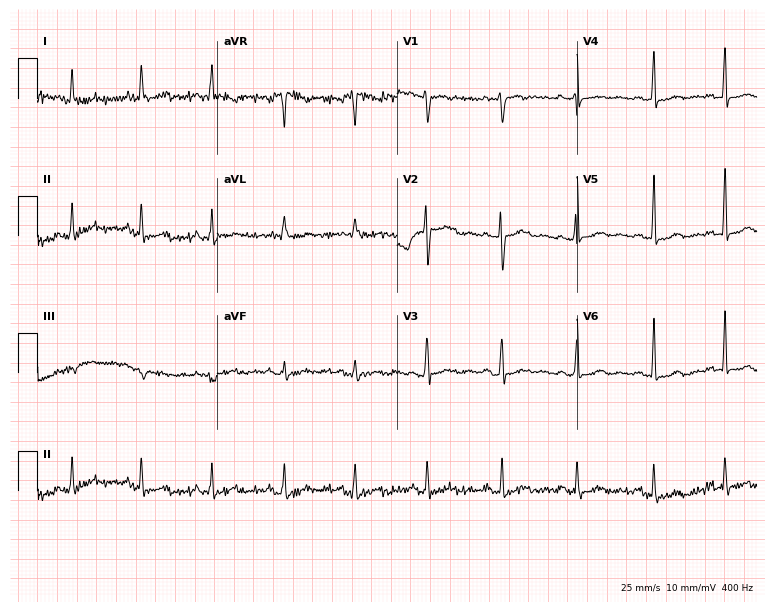
Electrocardiogram (7.3-second recording at 400 Hz), a woman, 36 years old. Of the six screened findings (first-degree AV block, right bundle branch block (RBBB), left bundle branch block (LBBB), sinus bradycardia, atrial fibrillation (AF), sinus tachycardia), none is recorded.